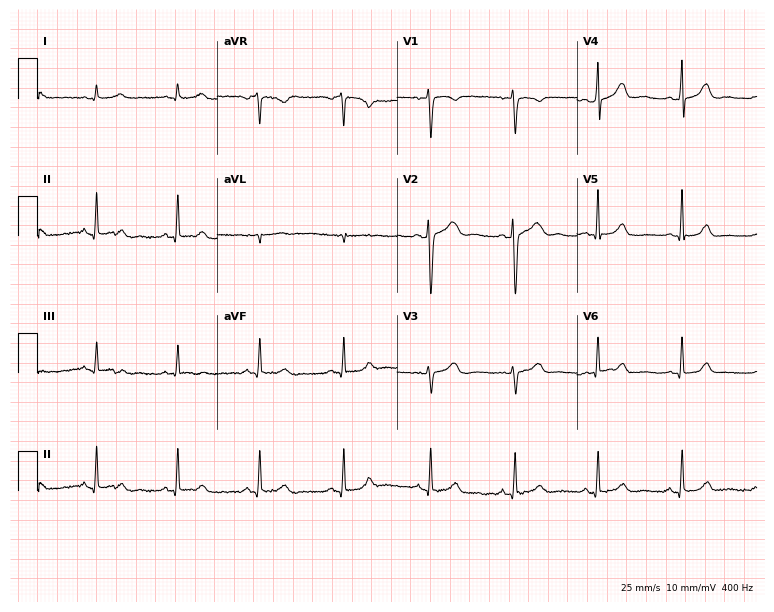
12-lead ECG from a 46-year-old female. Labelled as a normal ECG.